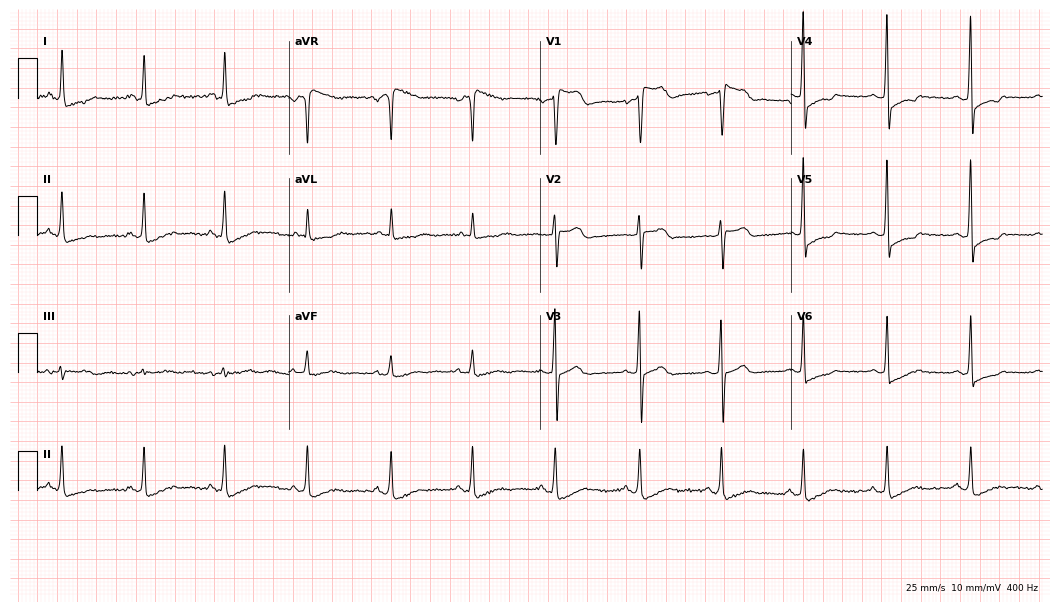
12-lead ECG from a female patient, 65 years old. Screened for six findings — first-degree AV block, right bundle branch block, left bundle branch block, sinus bradycardia, atrial fibrillation, sinus tachycardia — none is recorded.